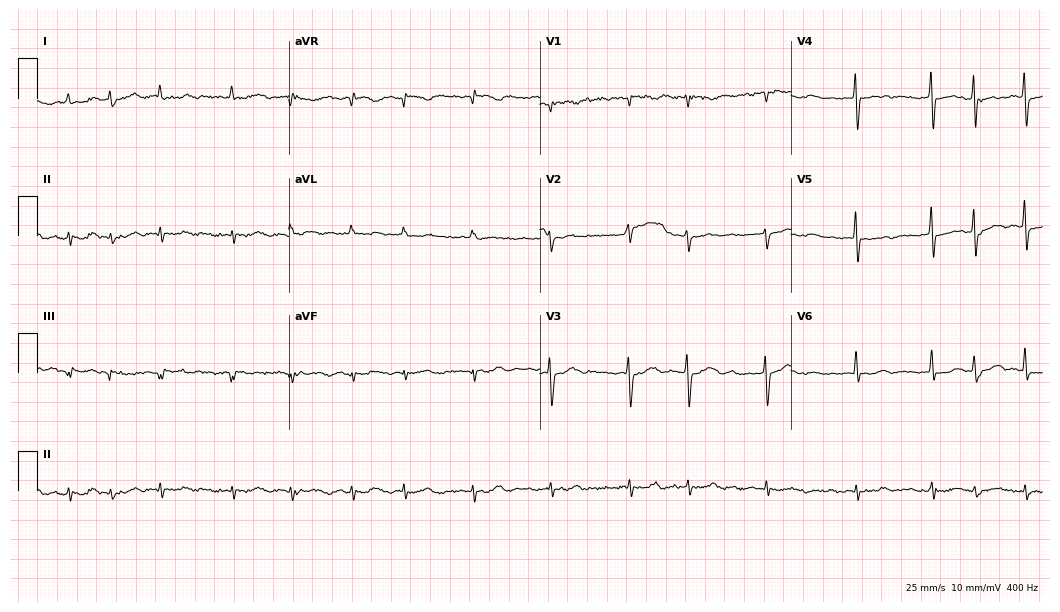
12-lead ECG (10.2-second recording at 400 Hz) from a 67-year-old female. Findings include atrial fibrillation (AF).